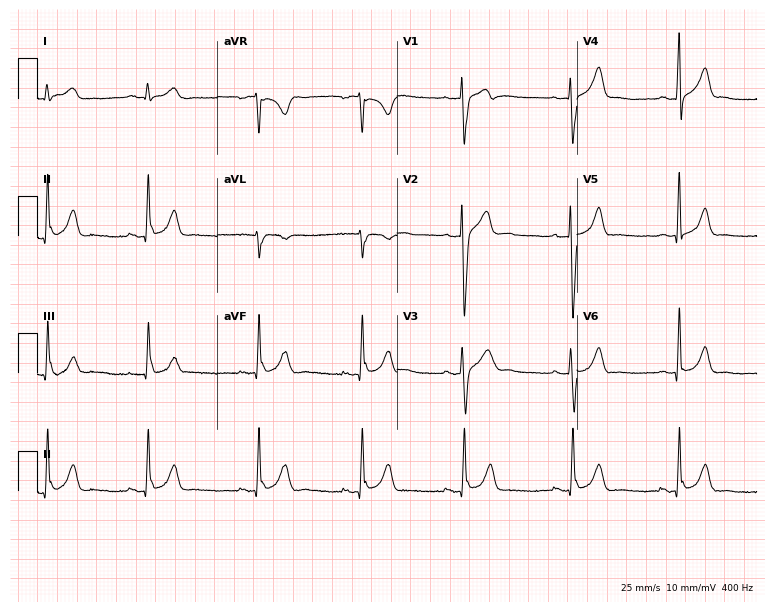
Electrocardiogram (7.3-second recording at 400 Hz), a male, 22 years old. Of the six screened findings (first-degree AV block, right bundle branch block (RBBB), left bundle branch block (LBBB), sinus bradycardia, atrial fibrillation (AF), sinus tachycardia), none is recorded.